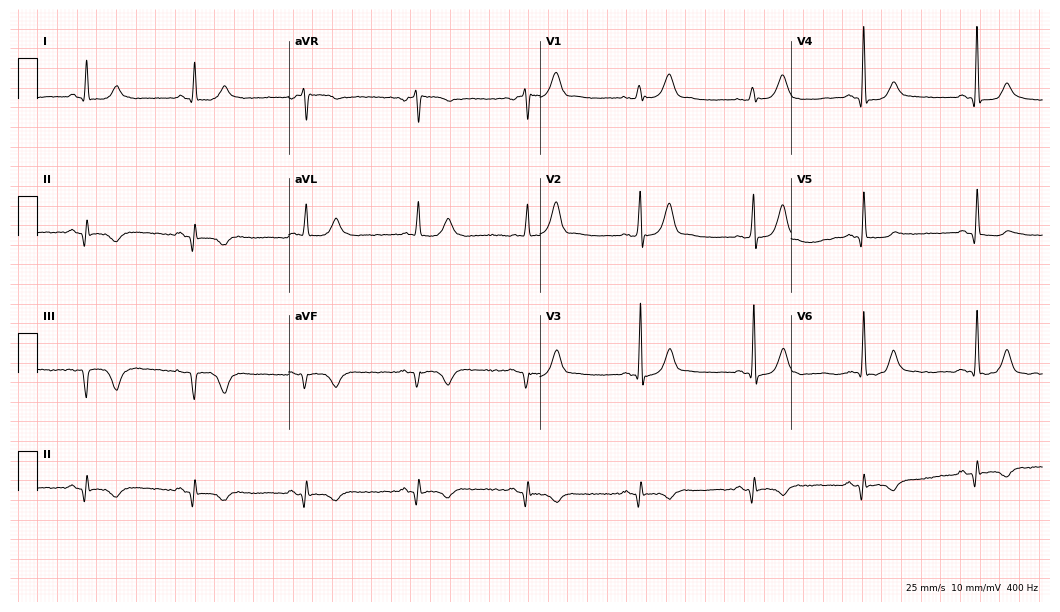
12-lead ECG from a male, 62 years old (10.2-second recording at 400 Hz). No first-degree AV block, right bundle branch block, left bundle branch block, sinus bradycardia, atrial fibrillation or sinus tachycardia recorded for this tracing.